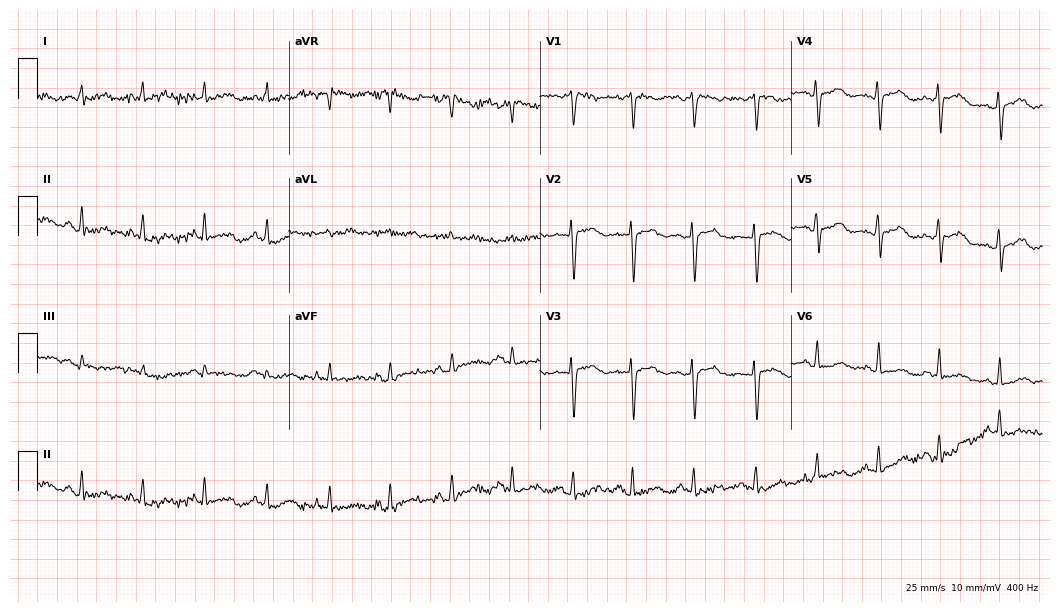
Standard 12-lead ECG recorded from a 54-year-old female (10.2-second recording at 400 Hz). None of these six findings is recorded: first-degree AV block, right bundle branch block, left bundle branch block, sinus bradycardia, atrial fibrillation, sinus tachycardia.